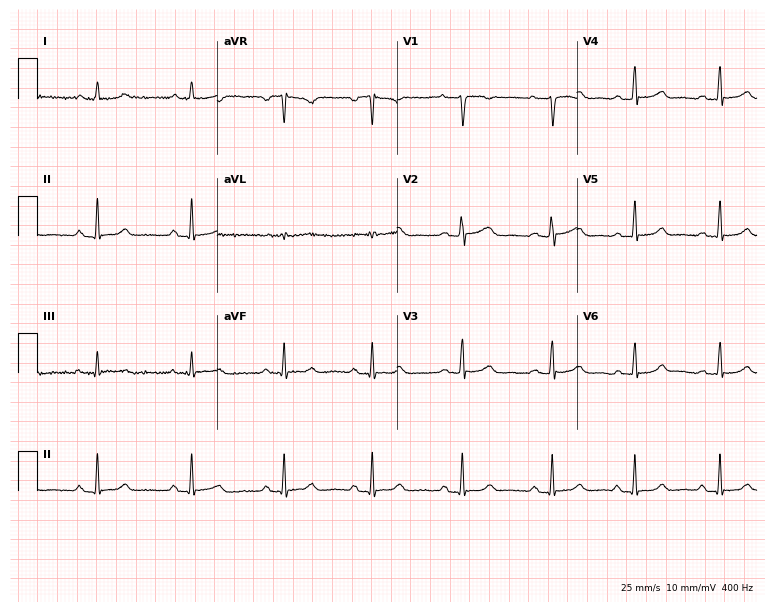
12-lead ECG from a female patient, 32 years old. No first-degree AV block, right bundle branch block (RBBB), left bundle branch block (LBBB), sinus bradycardia, atrial fibrillation (AF) or sinus tachycardia recorded for this tracing.